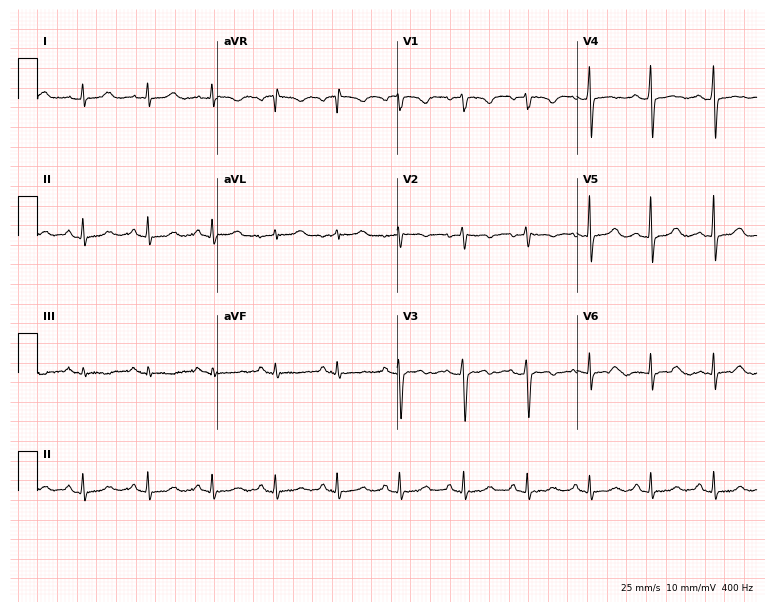
Standard 12-lead ECG recorded from a female, 32 years old (7.3-second recording at 400 Hz). Read as a normal ECG.